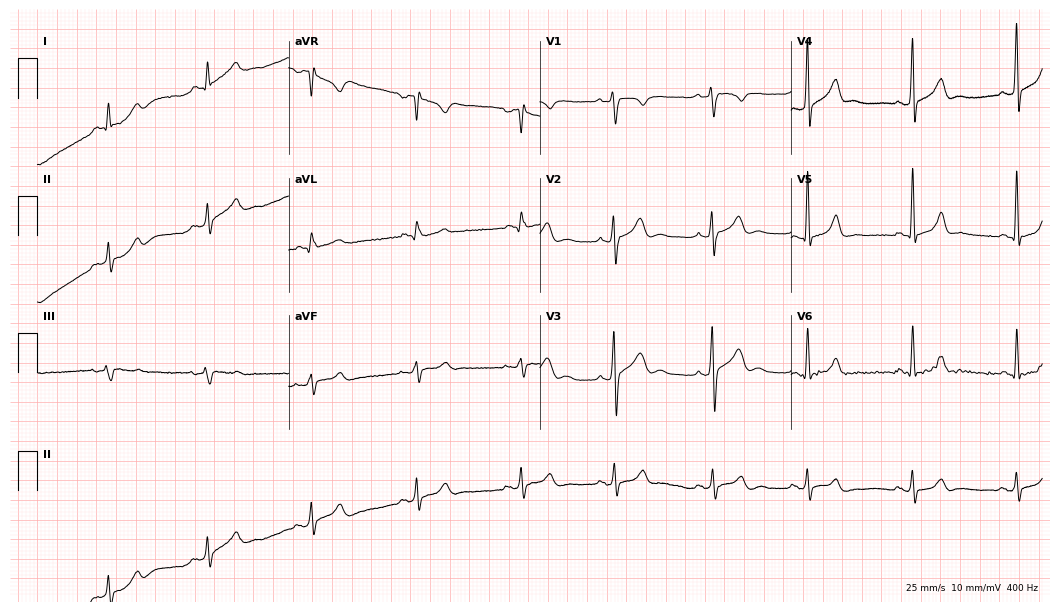
ECG (10.2-second recording at 400 Hz) — a 21-year-old male patient. Labelled as a normal ECG.